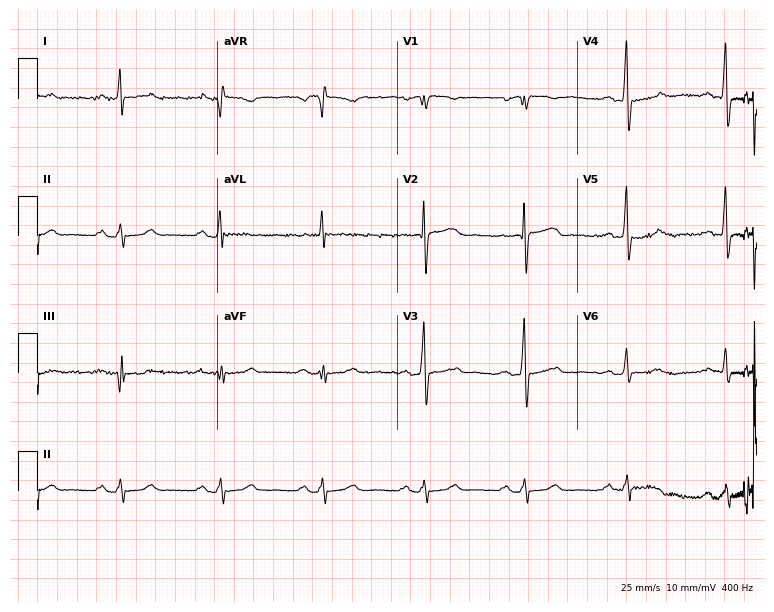
Standard 12-lead ECG recorded from a 62-year-old male patient. Read as a normal ECG.